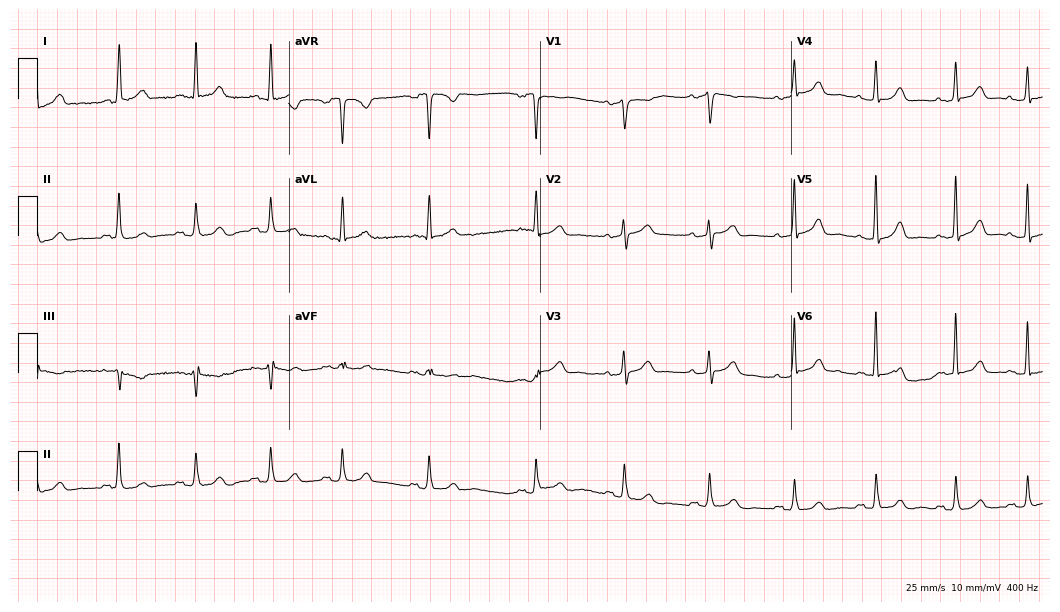
Standard 12-lead ECG recorded from an 83-year-old female patient. Read as a normal ECG.